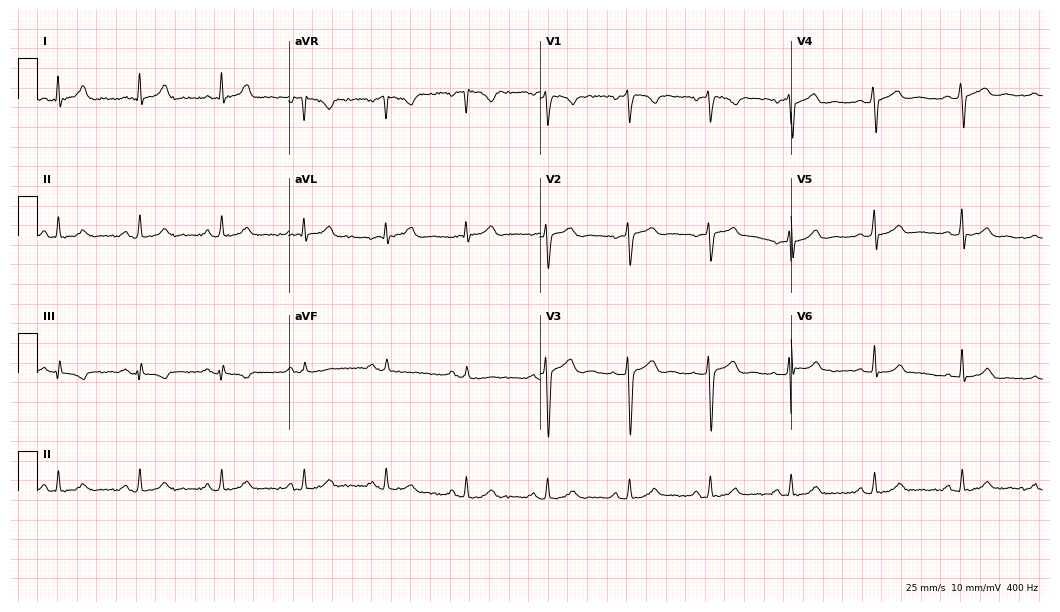
Electrocardiogram, a man, 29 years old. Of the six screened findings (first-degree AV block, right bundle branch block, left bundle branch block, sinus bradycardia, atrial fibrillation, sinus tachycardia), none is recorded.